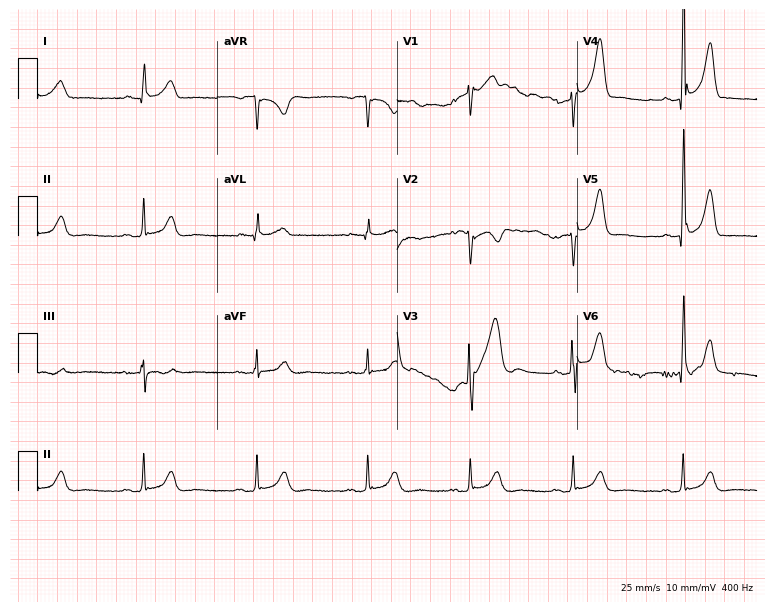
ECG — a male, 39 years old. Labelled as a normal ECG.